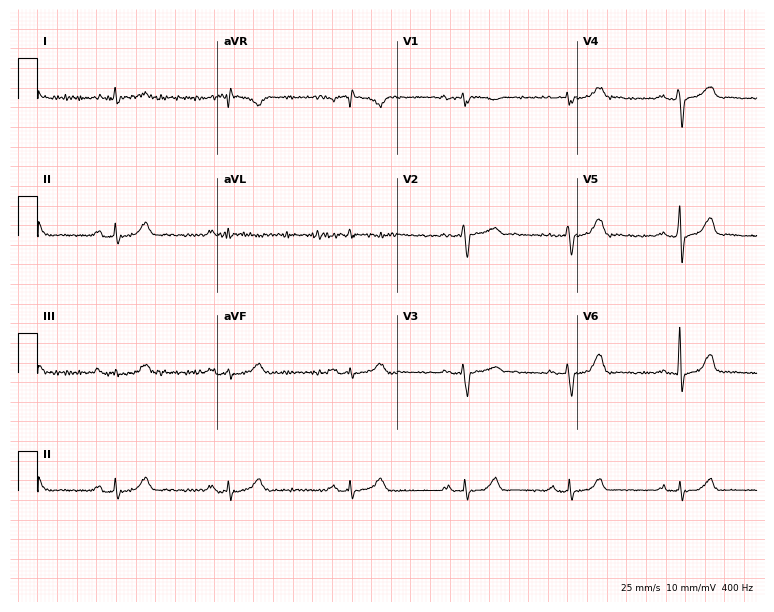
12-lead ECG (7.3-second recording at 400 Hz) from a 67-year-old man. Screened for six findings — first-degree AV block, right bundle branch block, left bundle branch block, sinus bradycardia, atrial fibrillation, sinus tachycardia — none is recorded.